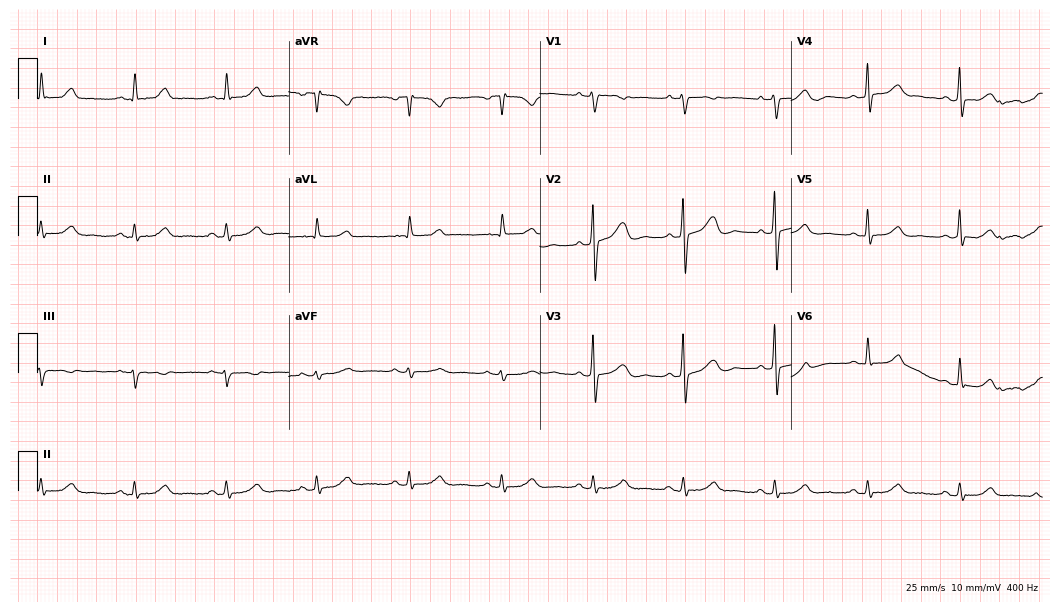
12-lead ECG from a female, 73 years old. Screened for six findings — first-degree AV block, right bundle branch block, left bundle branch block, sinus bradycardia, atrial fibrillation, sinus tachycardia — none is recorded.